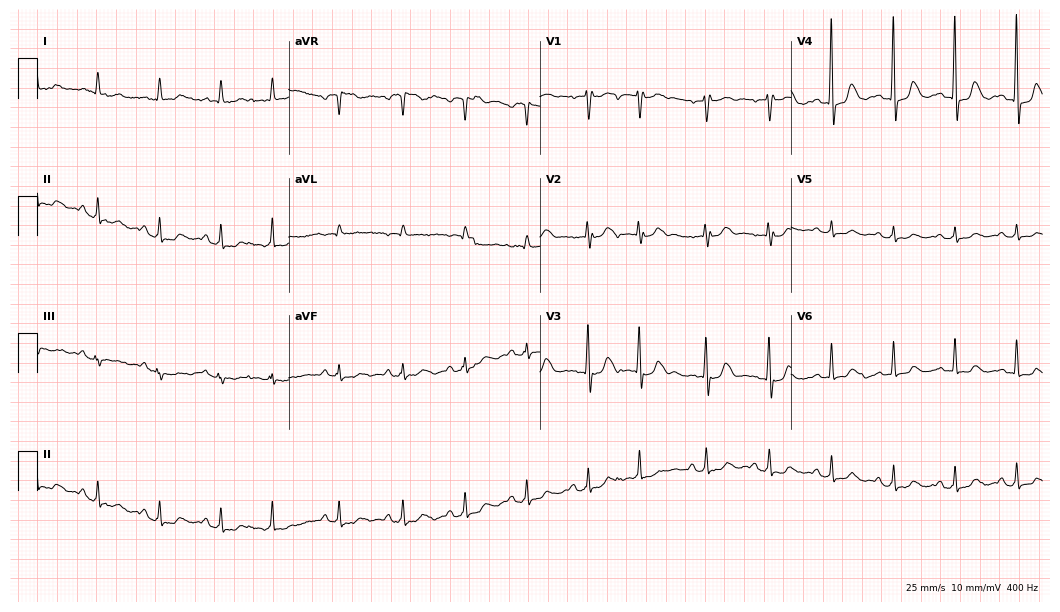
12-lead ECG from an 83-year-old female patient. No first-degree AV block, right bundle branch block, left bundle branch block, sinus bradycardia, atrial fibrillation or sinus tachycardia recorded for this tracing. Only these six findings were labelled.